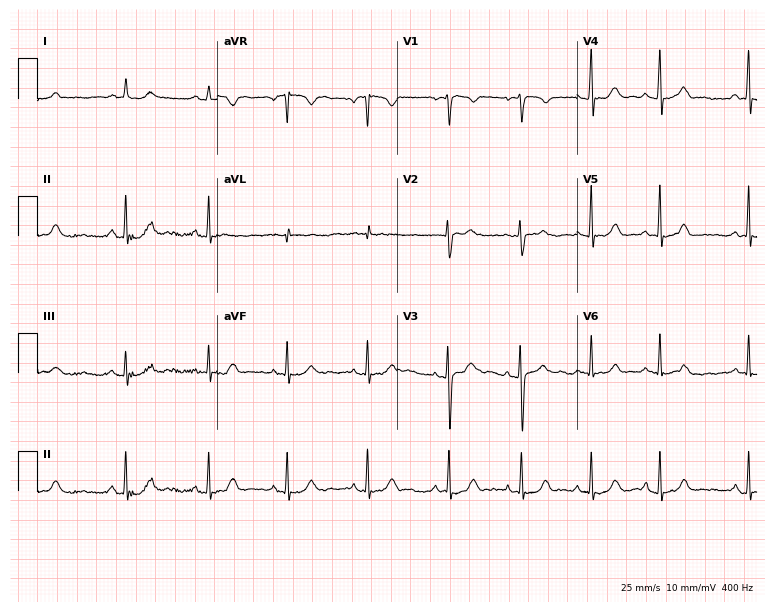
Electrocardiogram (7.3-second recording at 400 Hz), a 17-year-old woman. Overall reading on record: normal ECG.